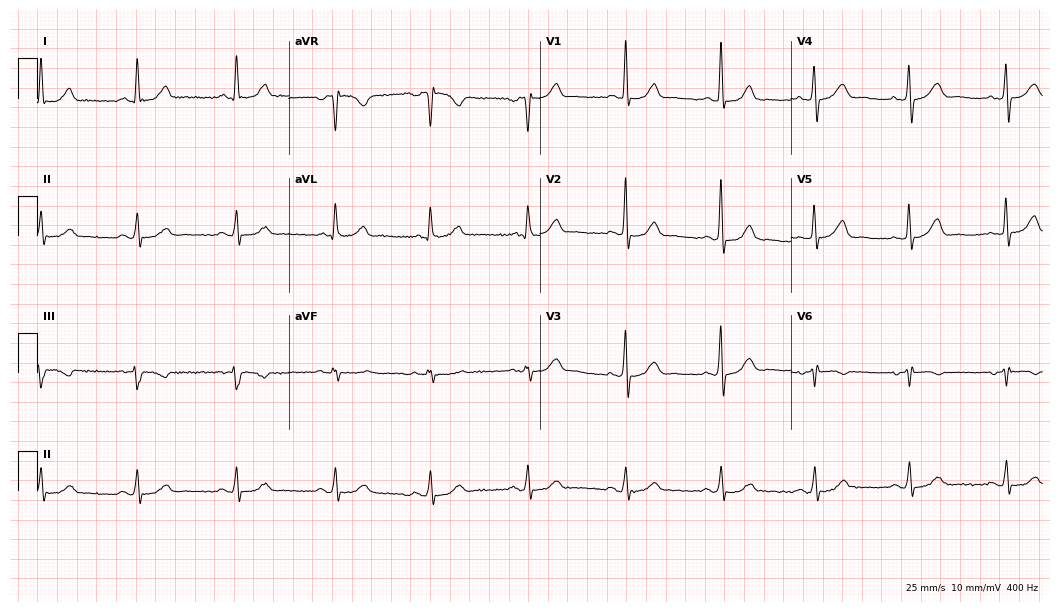
Resting 12-lead electrocardiogram (10.2-second recording at 400 Hz). Patient: a 70-year-old female. None of these six findings is recorded: first-degree AV block, right bundle branch block, left bundle branch block, sinus bradycardia, atrial fibrillation, sinus tachycardia.